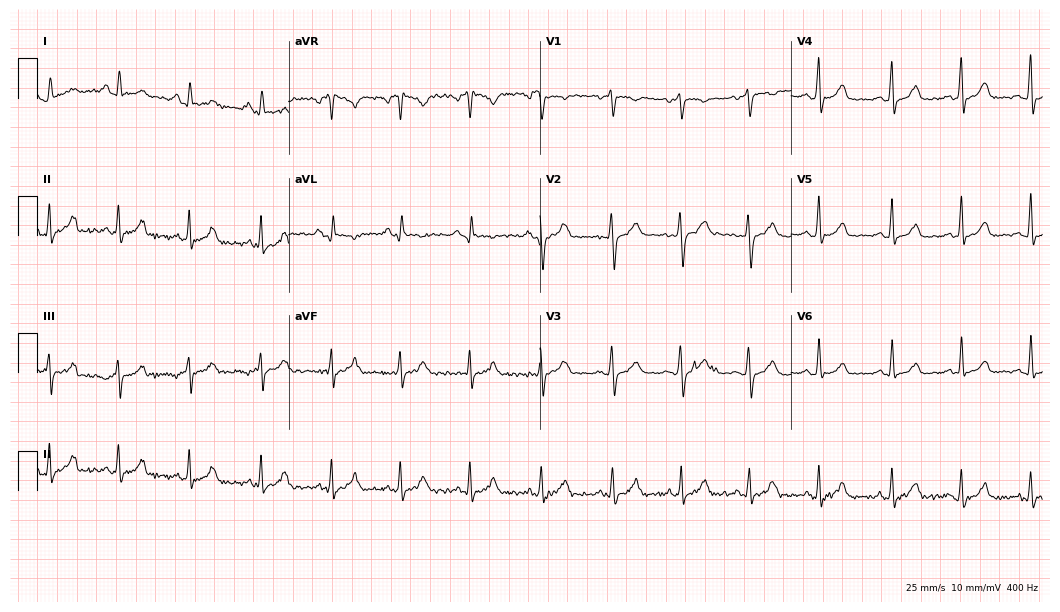
12-lead ECG from a female patient, 38 years old. Screened for six findings — first-degree AV block, right bundle branch block, left bundle branch block, sinus bradycardia, atrial fibrillation, sinus tachycardia — none is recorded. Other findings, if any, are not listed.